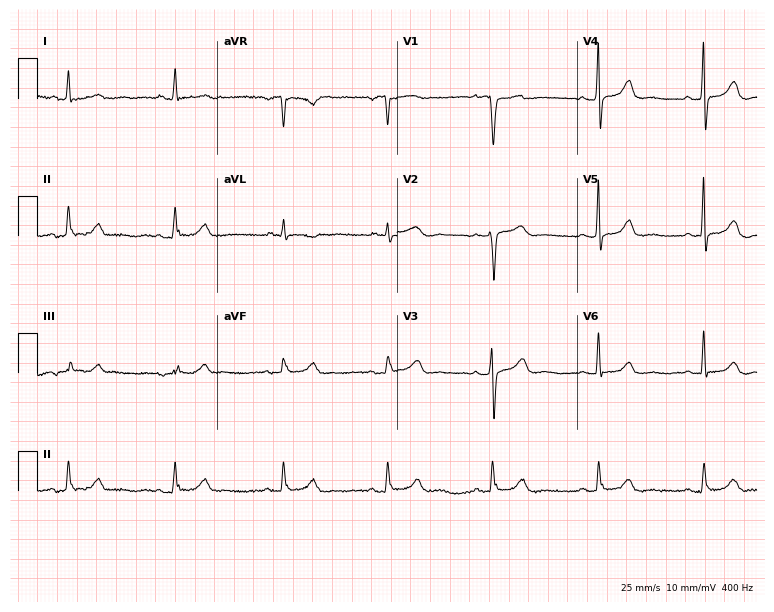
Standard 12-lead ECG recorded from a woman, 48 years old (7.3-second recording at 400 Hz). None of these six findings is recorded: first-degree AV block, right bundle branch block, left bundle branch block, sinus bradycardia, atrial fibrillation, sinus tachycardia.